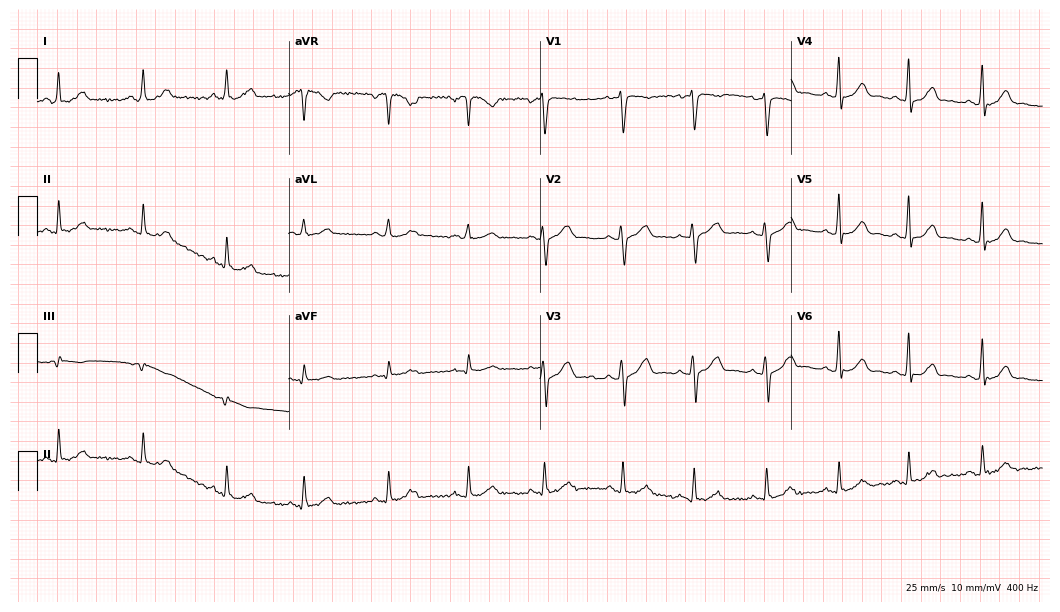
Electrocardiogram (10.2-second recording at 400 Hz), a female patient, 31 years old. Overall reading on record: normal ECG.